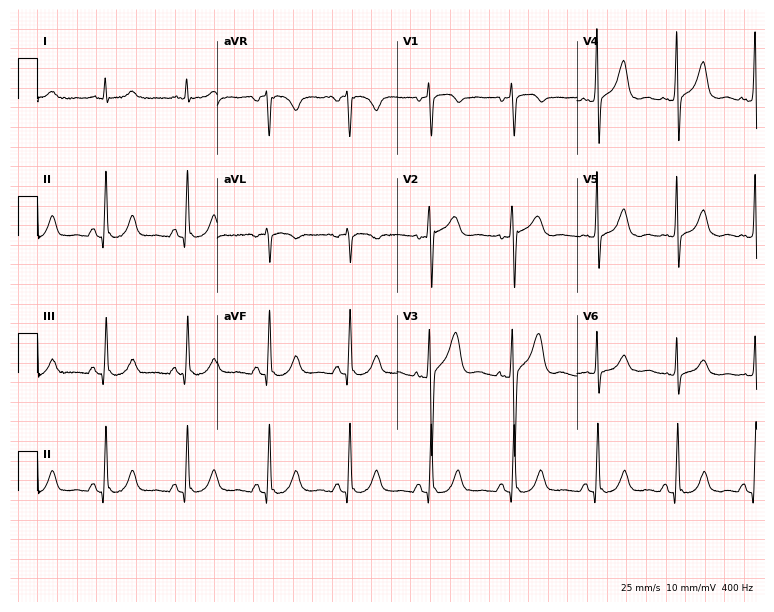
Standard 12-lead ECG recorded from a 64-year-old male. Read as a normal ECG.